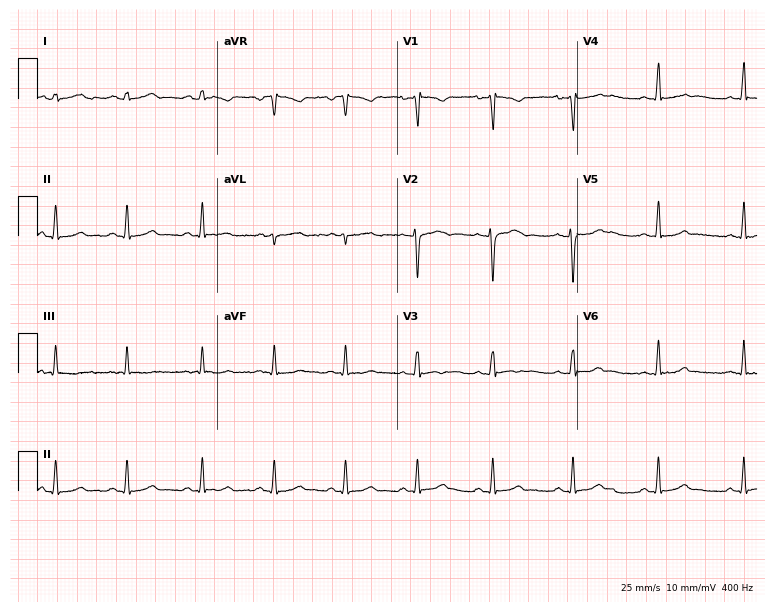
Resting 12-lead electrocardiogram (7.3-second recording at 400 Hz). Patient: a female, 20 years old. Read as a normal ECG.